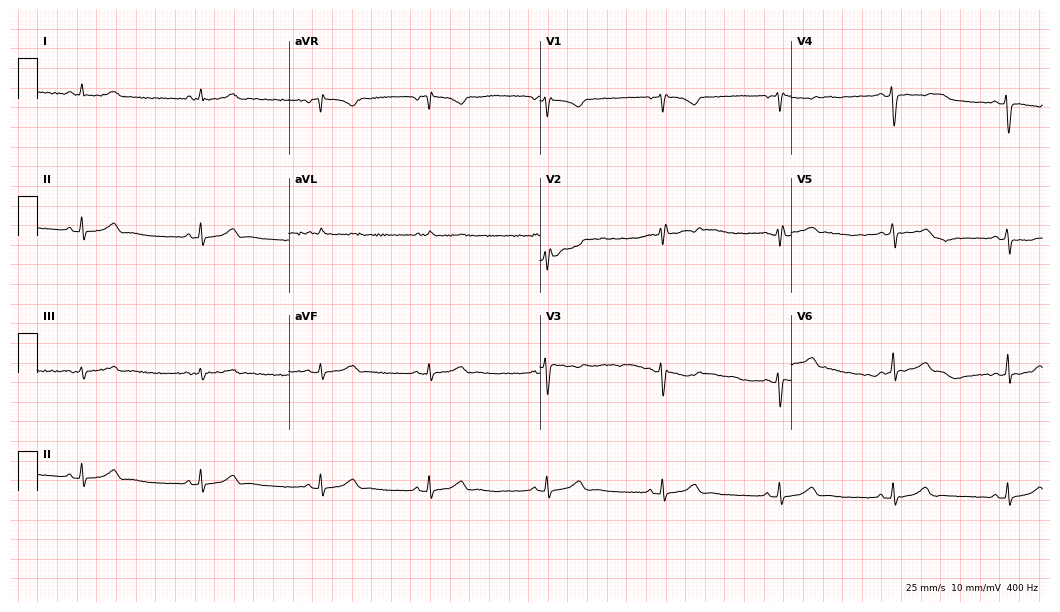
Standard 12-lead ECG recorded from a female, 30 years old (10.2-second recording at 400 Hz). None of these six findings is recorded: first-degree AV block, right bundle branch block, left bundle branch block, sinus bradycardia, atrial fibrillation, sinus tachycardia.